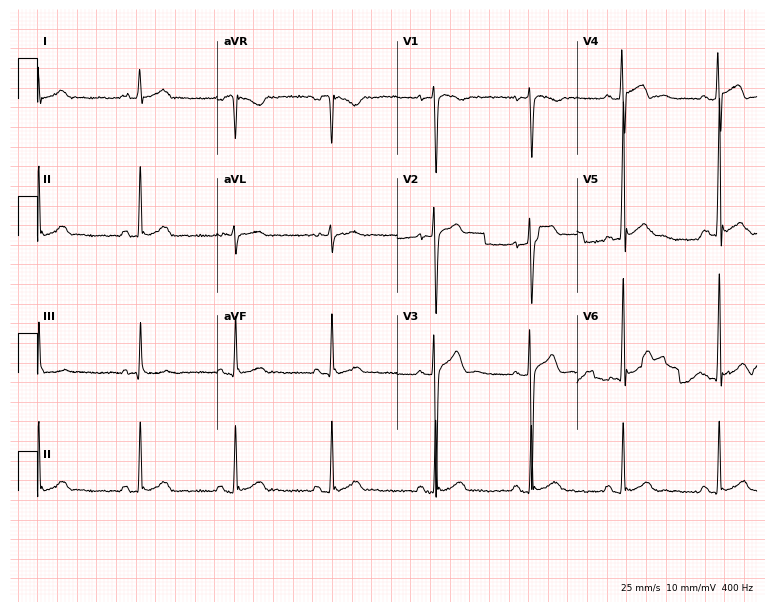
12-lead ECG from a male, 17 years old (7.3-second recording at 400 Hz). Recorded interpretation: within normal limits.